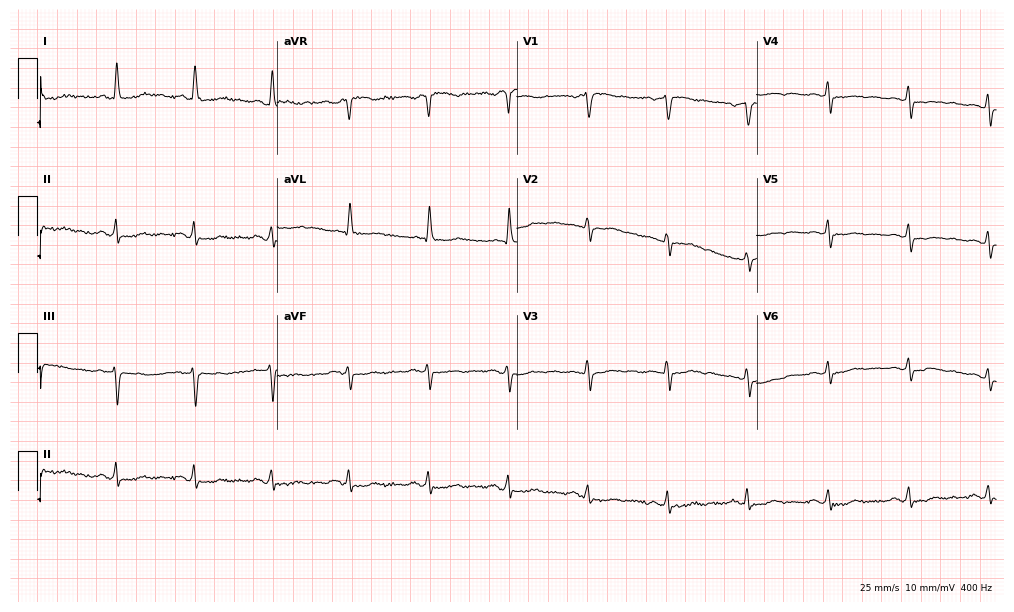
Standard 12-lead ECG recorded from a female patient, 64 years old. None of these six findings is recorded: first-degree AV block, right bundle branch block (RBBB), left bundle branch block (LBBB), sinus bradycardia, atrial fibrillation (AF), sinus tachycardia.